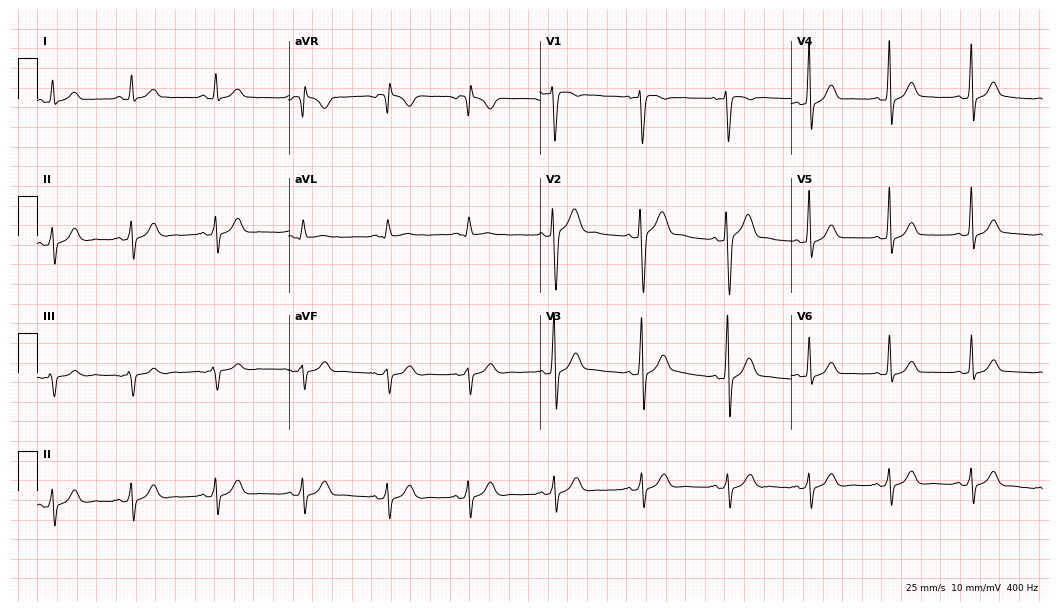
Electrocardiogram, a 21-year-old man. Overall reading on record: normal ECG.